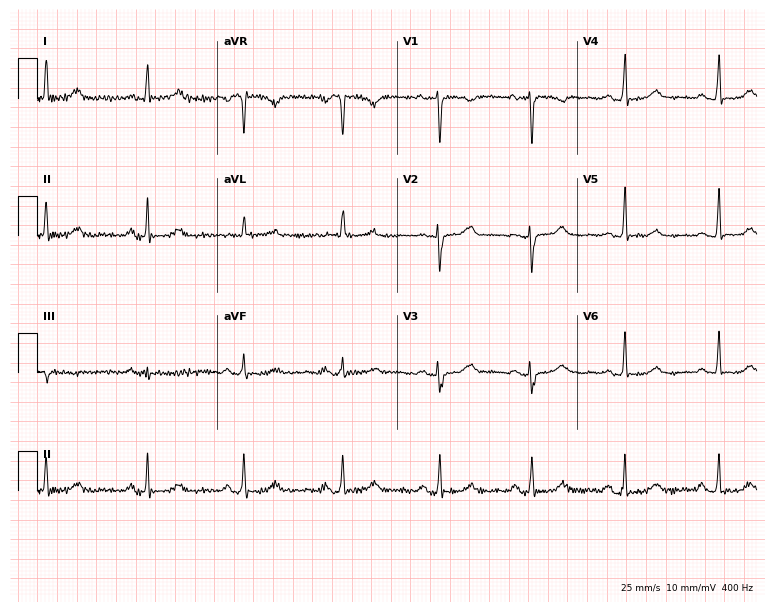
Standard 12-lead ECG recorded from a man, 61 years old (7.3-second recording at 400 Hz). Read as a normal ECG.